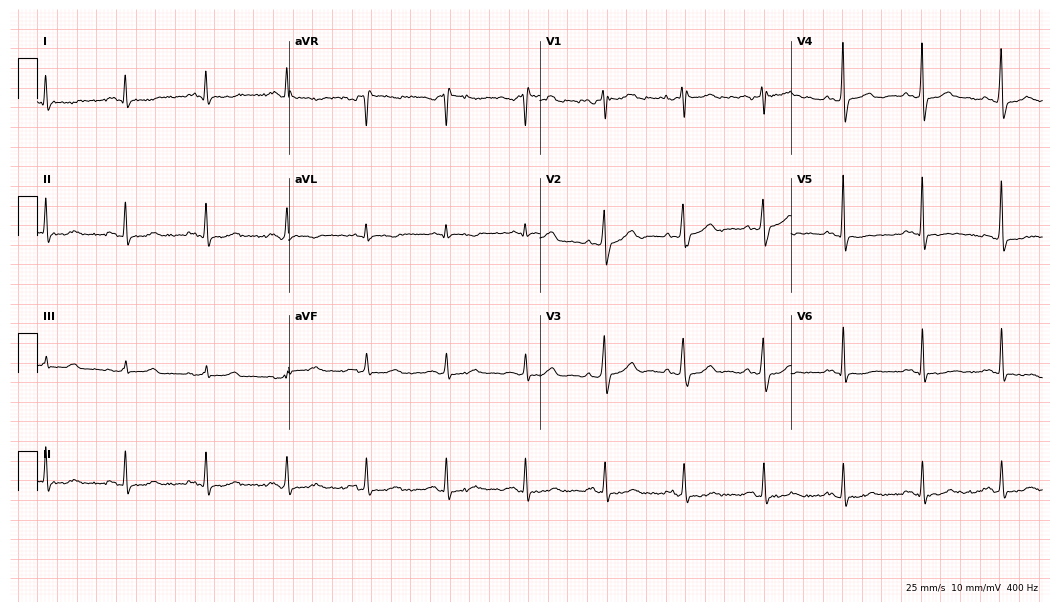
12-lead ECG from a male, 72 years old. Screened for six findings — first-degree AV block, right bundle branch block, left bundle branch block, sinus bradycardia, atrial fibrillation, sinus tachycardia — none is recorded. Only these six findings were labelled.